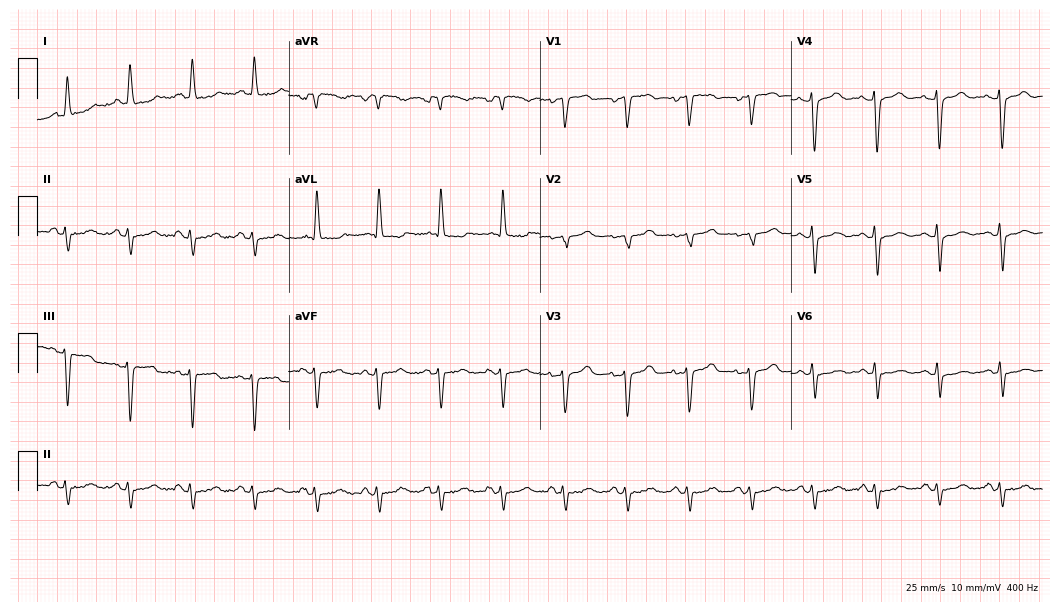
12-lead ECG from a 64-year-old female patient (10.2-second recording at 400 Hz). No first-degree AV block, right bundle branch block, left bundle branch block, sinus bradycardia, atrial fibrillation or sinus tachycardia recorded for this tracing.